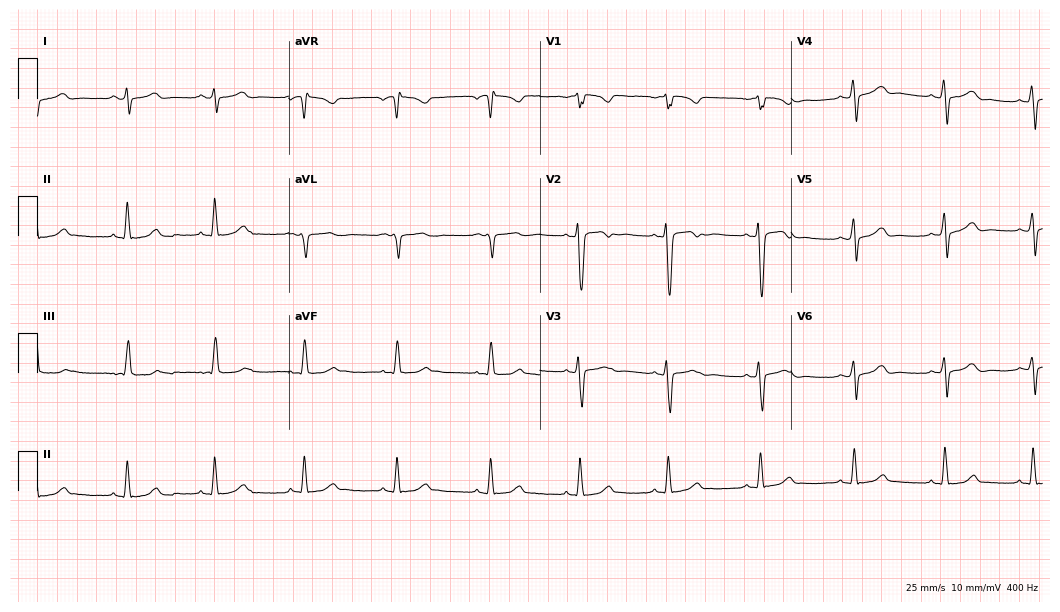
Resting 12-lead electrocardiogram. Patient: a female, 24 years old. None of these six findings is recorded: first-degree AV block, right bundle branch block, left bundle branch block, sinus bradycardia, atrial fibrillation, sinus tachycardia. Only these six findings were labelled.